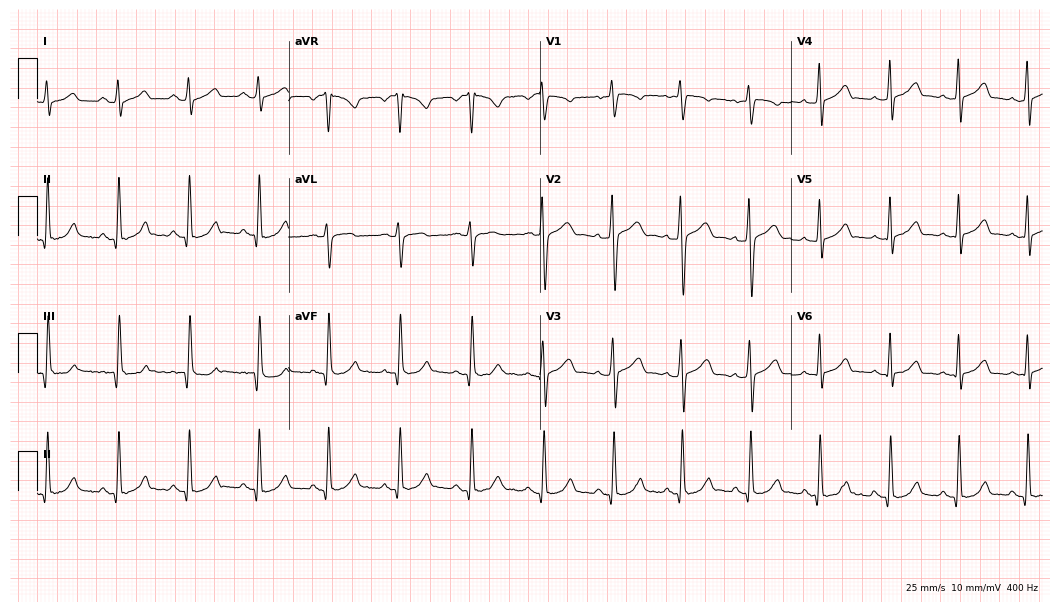
Resting 12-lead electrocardiogram (10.2-second recording at 400 Hz). Patient: a female, 29 years old. None of these six findings is recorded: first-degree AV block, right bundle branch block, left bundle branch block, sinus bradycardia, atrial fibrillation, sinus tachycardia.